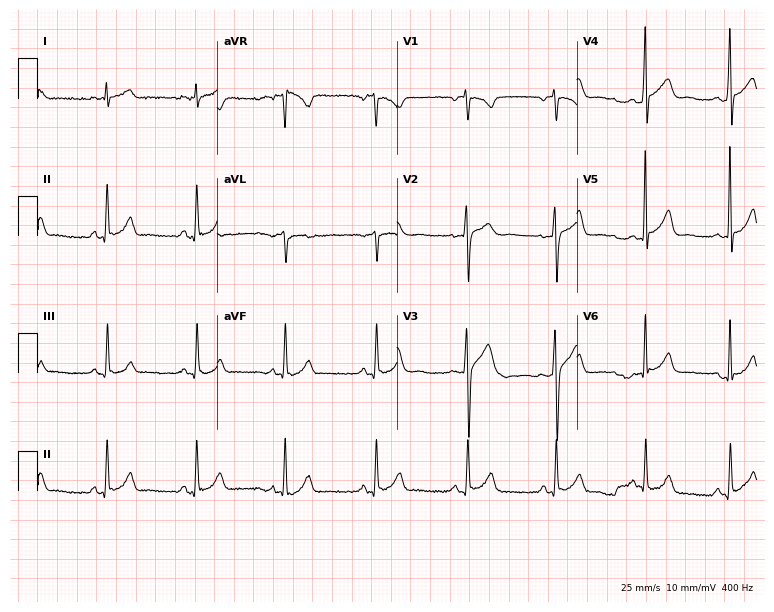
Standard 12-lead ECG recorded from a 29-year-old man. Read as a normal ECG.